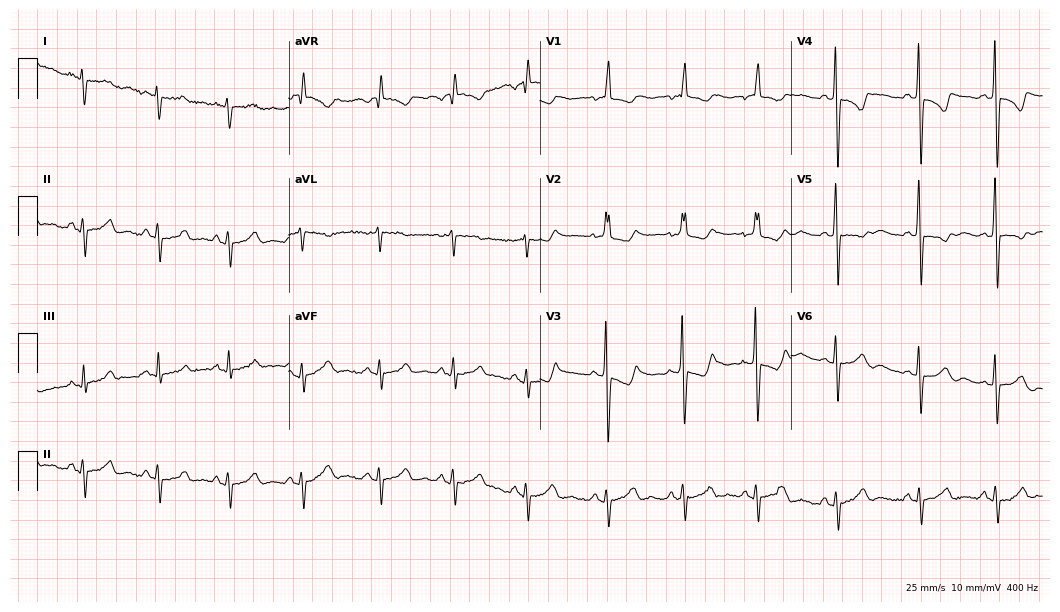
12-lead ECG from a female, 28 years old. Screened for six findings — first-degree AV block, right bundle branch block (RBBB), left bundle branch block (LBBB), sinus bradycardia, atrial fibrillation (AF), sinus tachycardia — none is recorded.